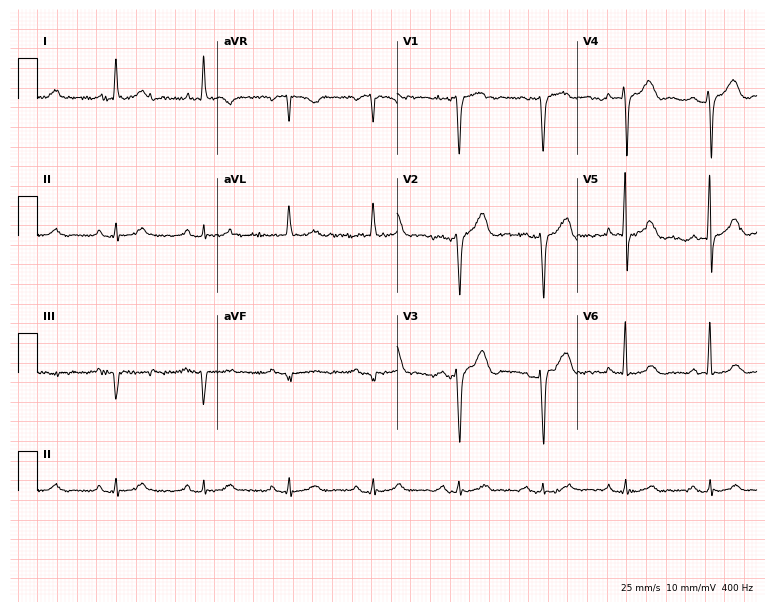
ECG (7.3-second recording at 400 Hz) — a 68-year-old male. Screened for six findings — first-degree AV block, right bundle branch block, left bundle branch block, sinus bradycardia, atrial fibrillation, sinus tachycardia — none is recorded. Findings outside these six are not listed.